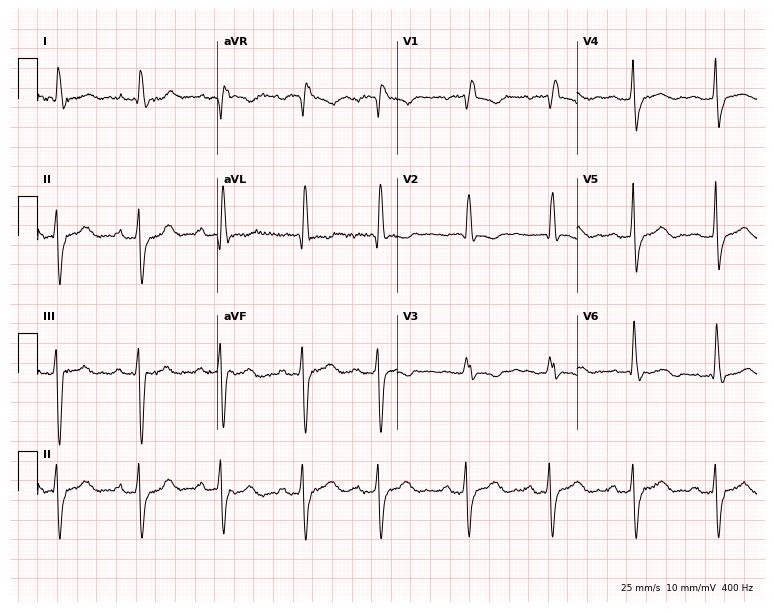
Electrocardiogram, a 74-year-old female. Interpretation includes right bundle branch block.